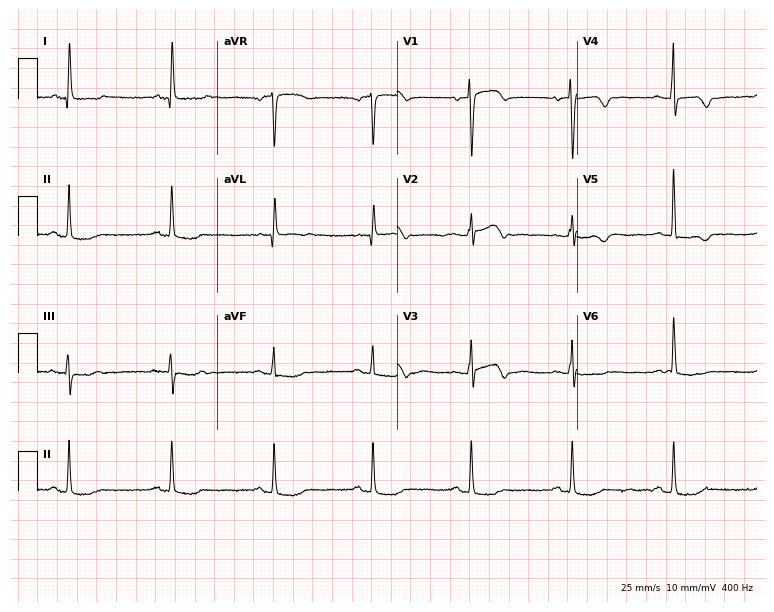
ECG — a 61-year-old female patient. Screened for six findings — first-degree AV block, right bundle branch block (RBBB), left bundle branch block (LBBB), sinus bradycardia, atrial fibrillation (AF), sinus tachycardia — none is recorded.